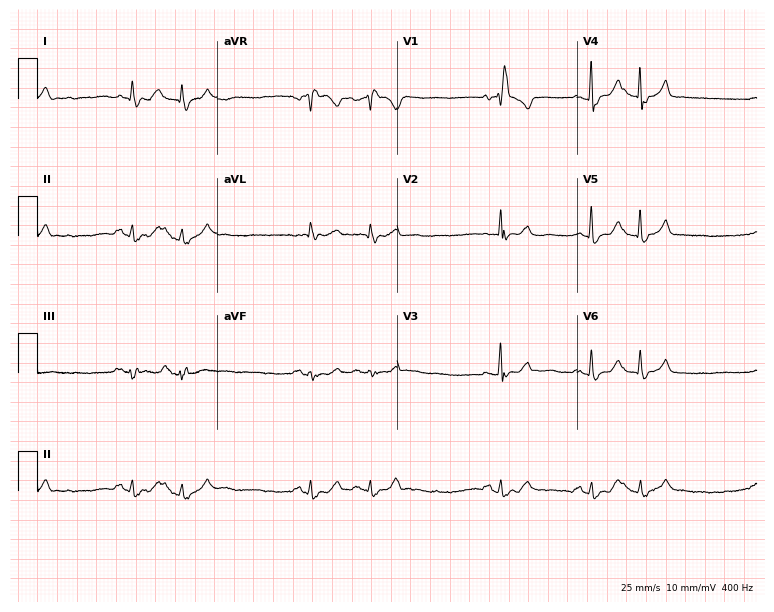
Electrocardiogram (7.3-second recording at 400 Hz), an 81-year-old female patient. Interpretation includes right bundle branch block.